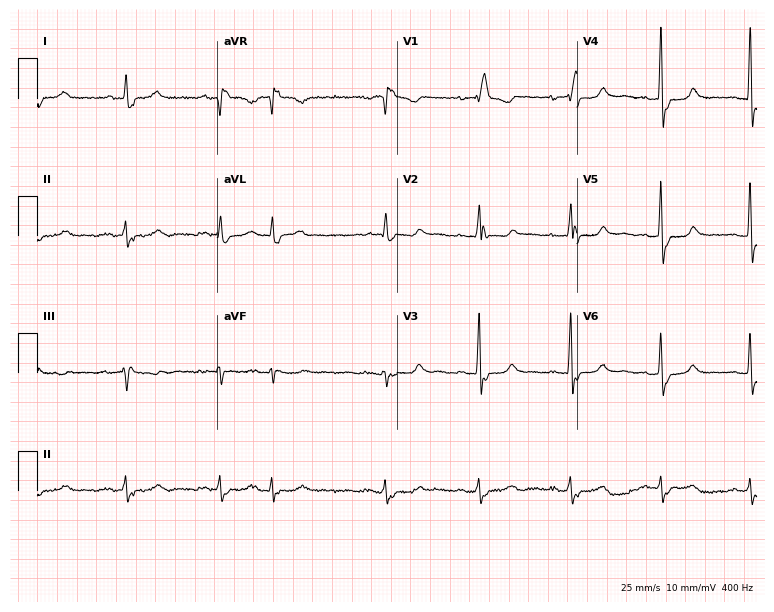
Electrocardiogram (7.3-second recording at 400 Hz), a 71-year-old woman. Interpretation includes right bundle branch block (RBBB).